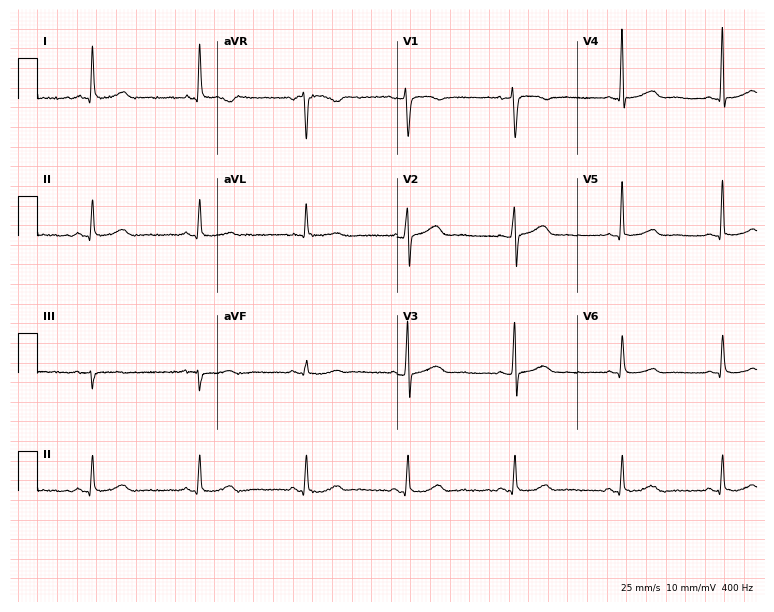
Resting 12-lead electrocardiogram (7.3-second recording at 400 Hz). Patient: a woman, 58 years old. Read as a normal ECG.